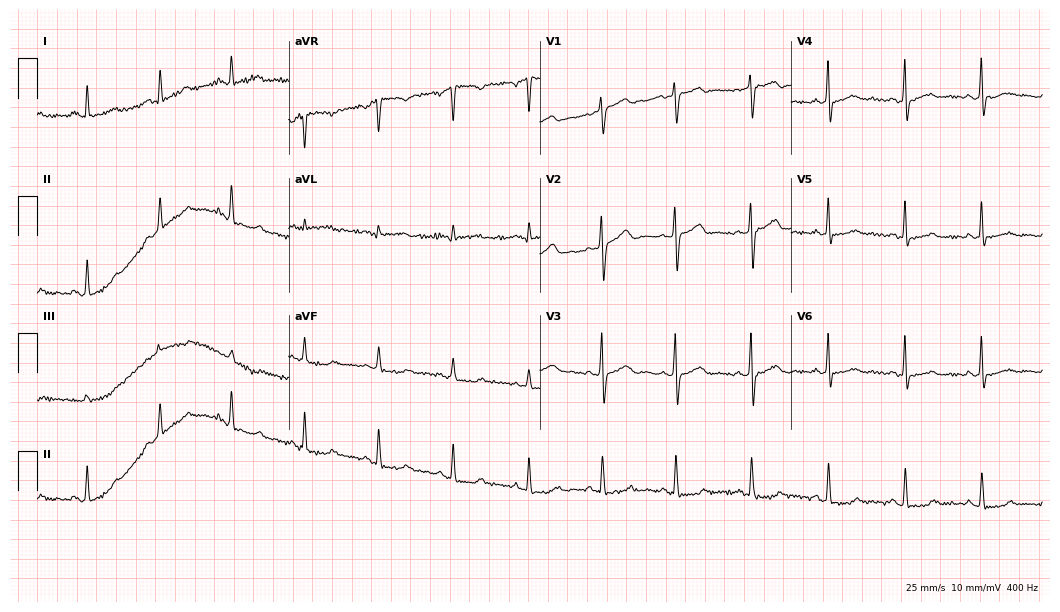
12-lead ECG (10.2-second recording at 400 Hz) from a female patient, 52 years old. Screened for six findings — first-degree AV block, right bundle branch block, left bundle branch block, sinus bradycardia, atrial fibrillation, sinus tachycardia — none is recorded. Findings outside these six are not listed.